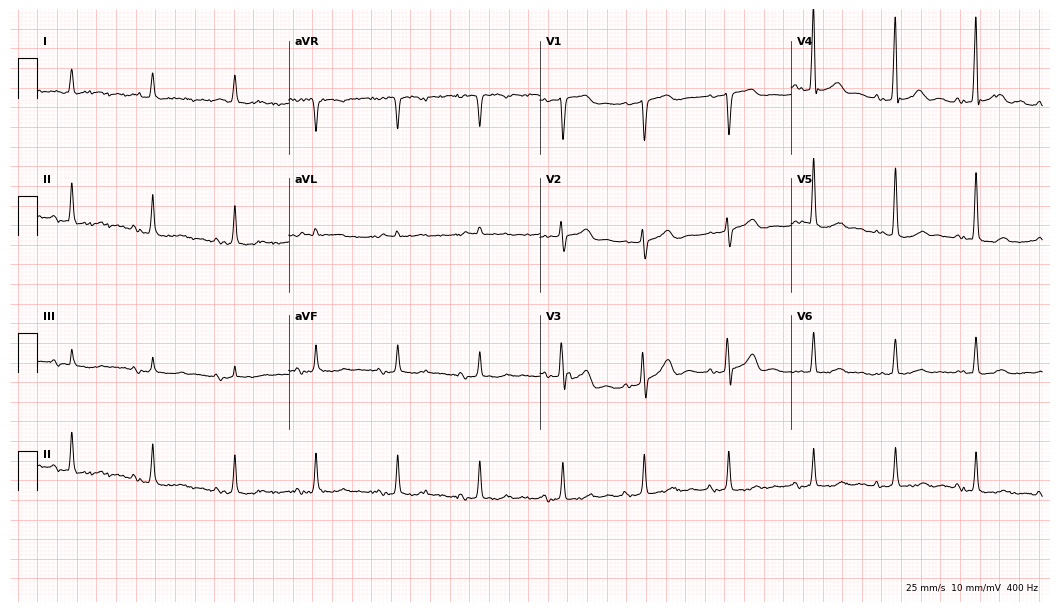
12-lead ECG from a 75-year-old male patient. Recorded interpretation: within normal limits.